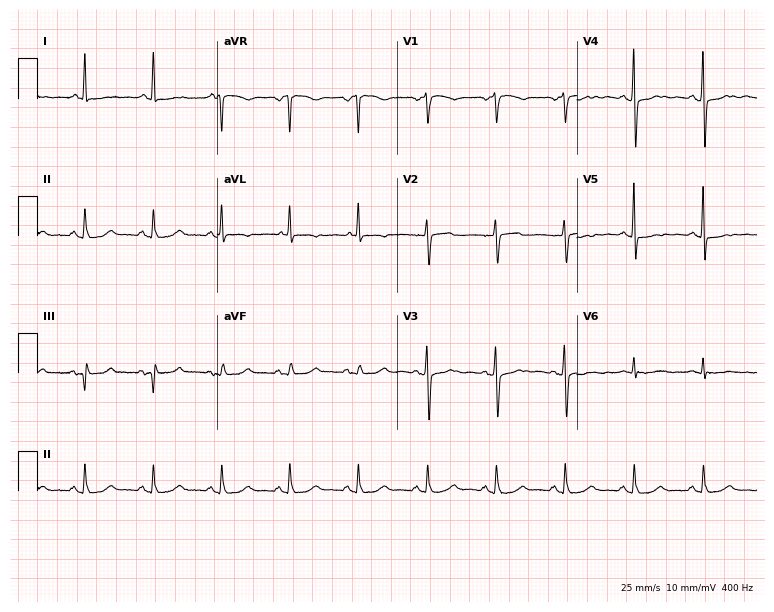
ECG (7.3-second recording at 400 Hz) — a 73-year-old female. Screened for six findings — first-degree AV block, right bundle branch block (RBBB), left bundle branch block (LBBB), sinus bradycardia, atrial fibrillation (AF), sinus tachycardia — none is recorded. Findings outside these six are not listed.